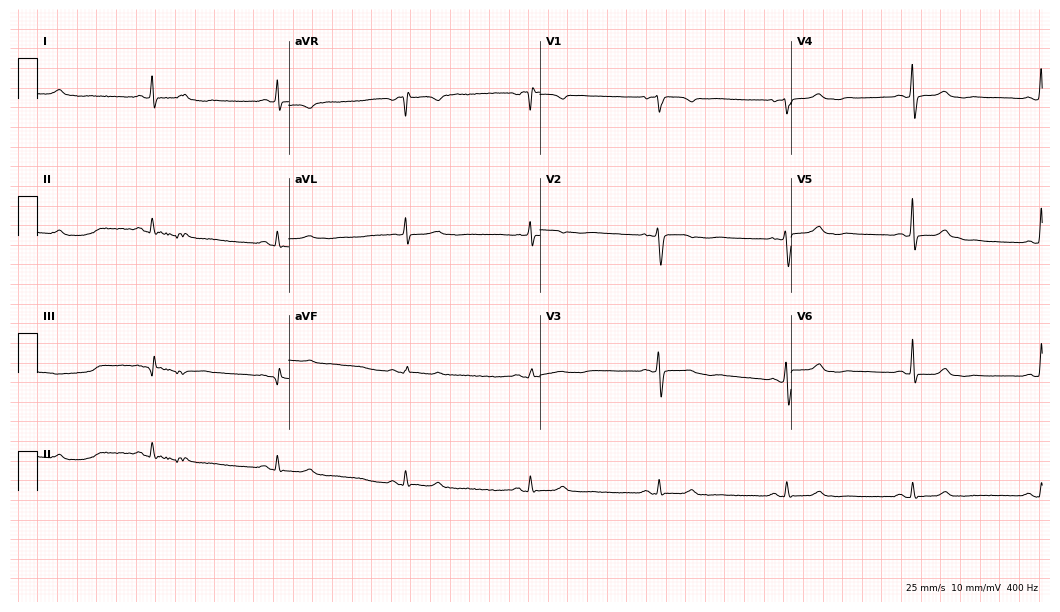
12-lead ECG from a woman, 59 years old (10.2-second recording at 400 Hz). No first-degree AV block, right bundle branch block, left bundle branch block, sinus bradycardia, atrial fibrillation or sinus tachycardia recorded for this tracing. Only these six findings were labelled.